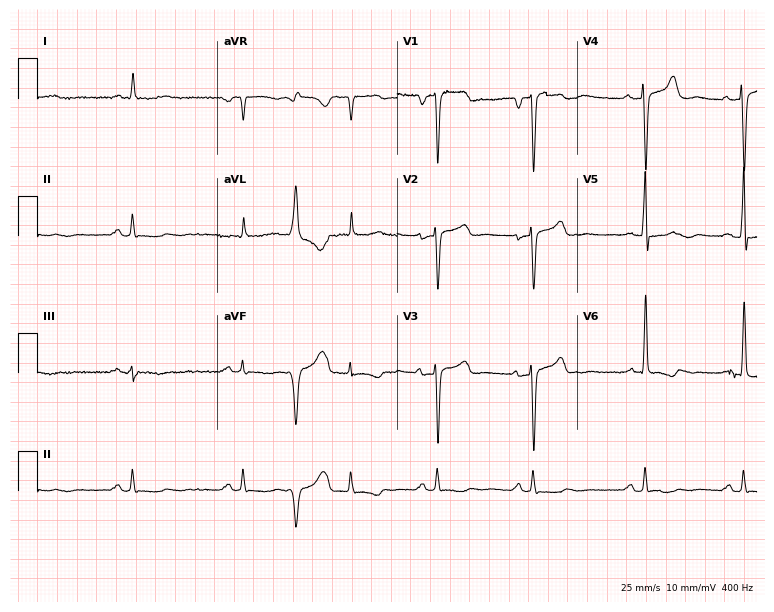
Electrocardiogram, a male, 68 years old. Of the six screened findings (first-degree AV block, right bundle branch block, left bundle branch block, sinus bradycardia, atrial fibrillation, sinus tachycardia), none is recorded.